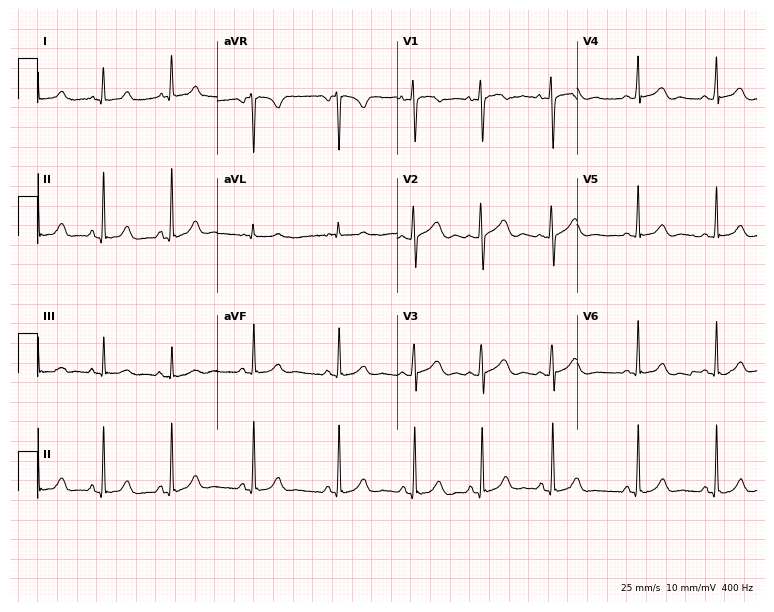
Resting 12-lead electrocardiogram. Patient: a 17-year-old woman. Read as a normal ECG.